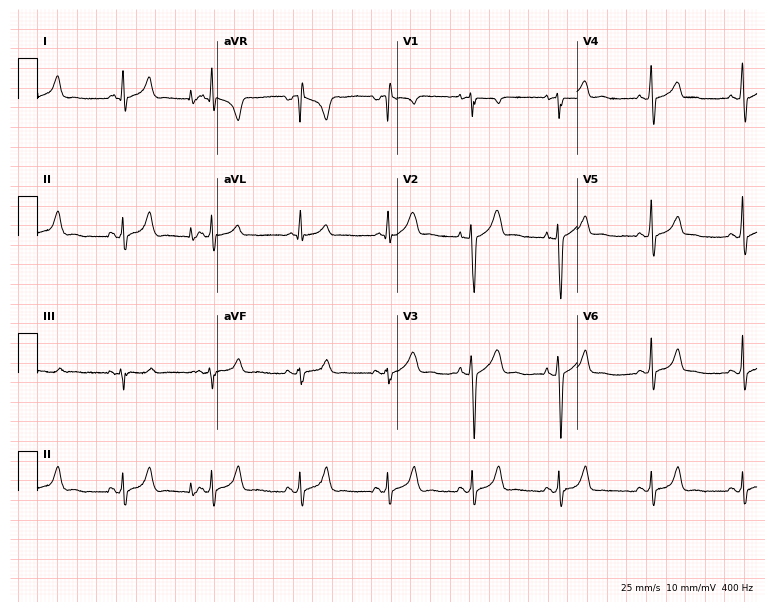
12-lead ECG from an 18-year-old male patient (7.3-second recording at 400 Hz). Recorded interpretation: within normal limits.